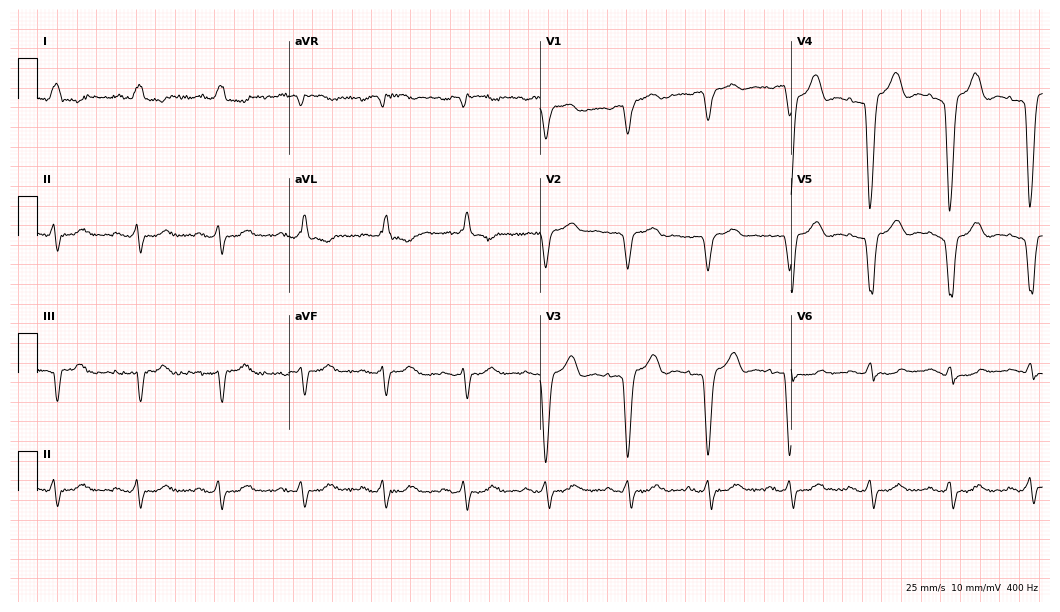
12-lead ECG from an 83-year-old female (10.2-second recording at 400 Hz). Shows left bundle branch block.